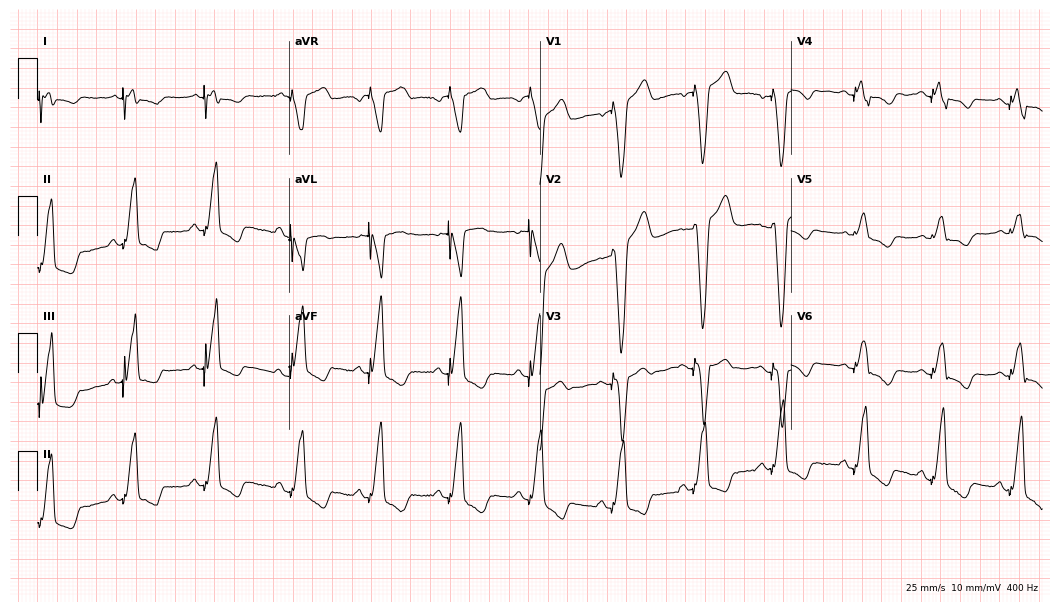
Electrocardiogram, a female patient, 71 years old. Of the six screened findings (first-degree AV block, right bundle branch block, left bundle branch block, sinus bradycardia, atrial fibrillation, sinus tachycardia), none is recorded.